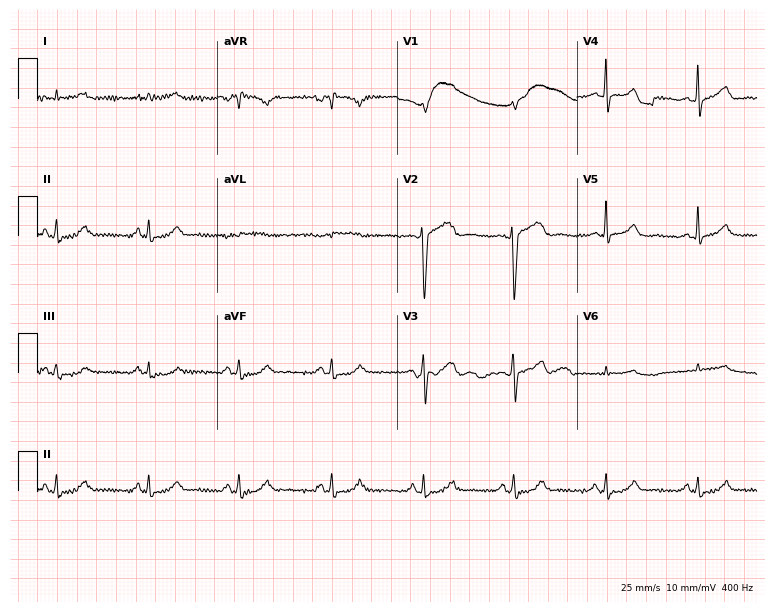
ECG (7.3-second recording at 400 Hz) — a 54-year-old male. Screened for six findings — first-degree AV block, right bundle branch block (RBBB), left bundle branch block (LBBB), sinus bradycardia, atrial fibrillation (AF), sinus tachycardia — none is recorded. Findings outside these six are not listed.